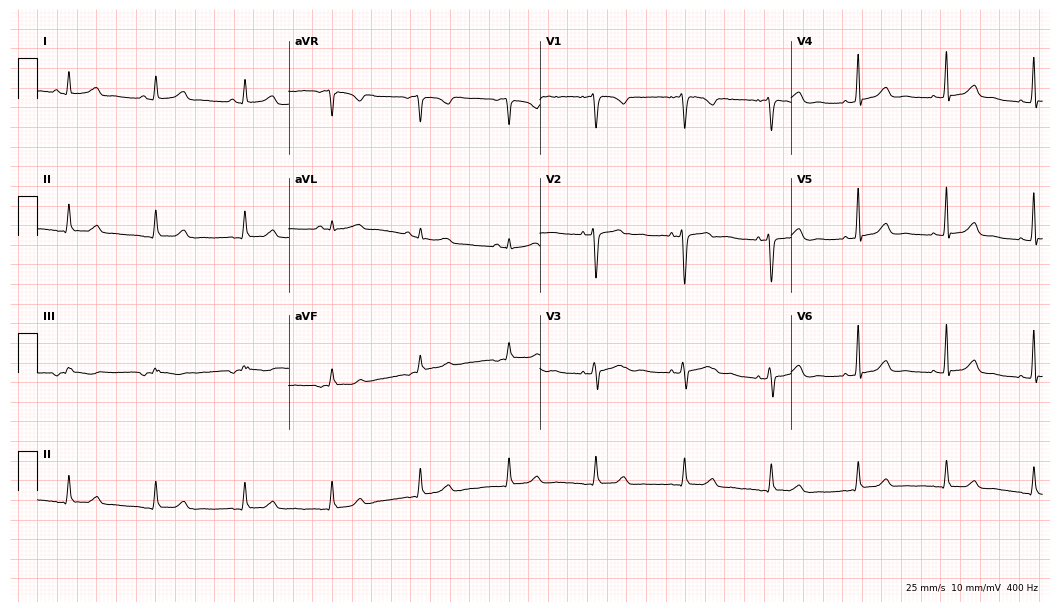
ECG — a 60-year-old female. Screened for six findings — first-degree AV block, right bundle branch block, left bundle branch block, sinus bradycardia, atrial fibrillation, sinus tachycardia — none is recorded.